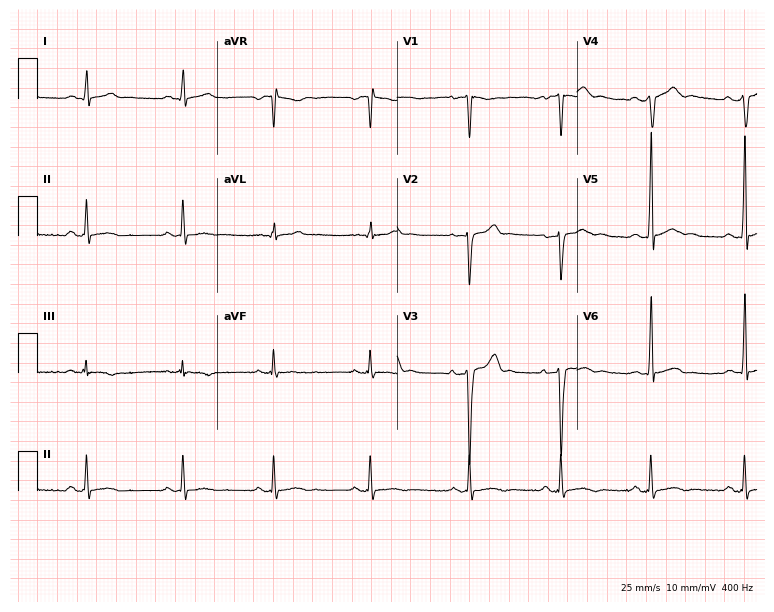
12-lead ECG from a 25-year-old male patient. No first-degree AV block, right bundle branch block (RBBB), left bundle branch block (LBBB), sinus bradycardia, atrial fibrillation (AF) or sinus tachycardia recorded for this tracing. Only these six findings were labelled.